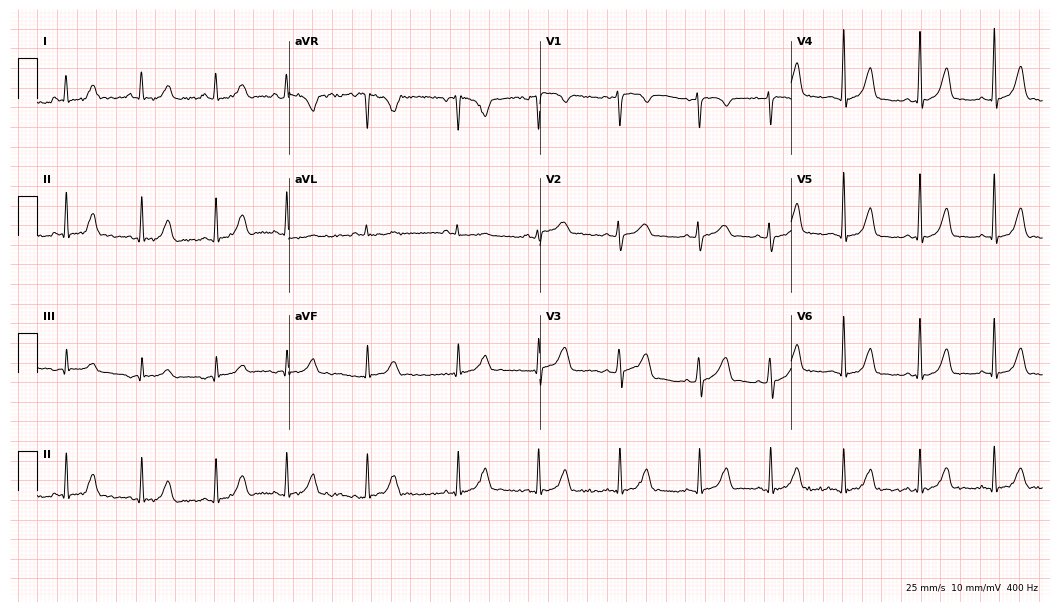
Standard 12-lead ECG recorded from a 30-year-old female patient (10.2-second recording at 400 Hz). Read as a normal ECG.